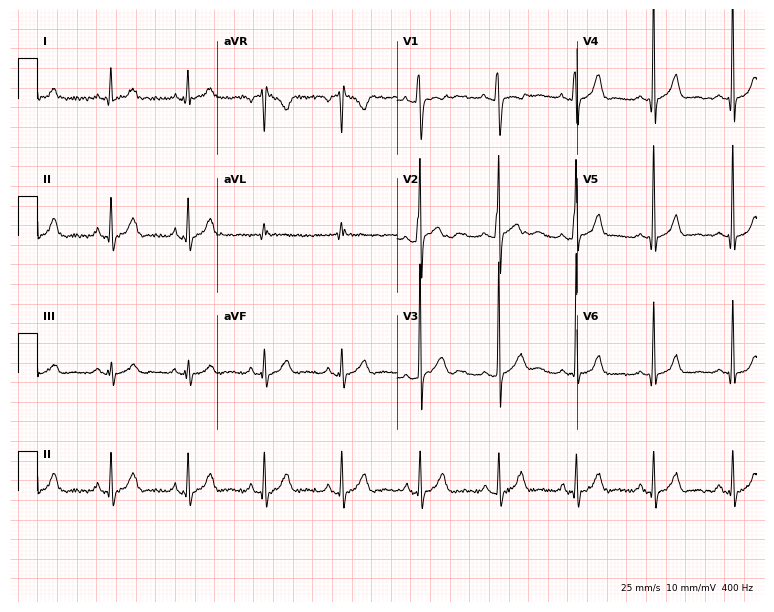
Resting 12-lead electrocardiogram. Patient: a male, 22 years old. None of these six findings is recorded: first-degree AV block, right bundle branch block, left bundle branch block, sinus bradycardia, atrial fibrillation, sinus tachycardia. Only these six findings were labelled.